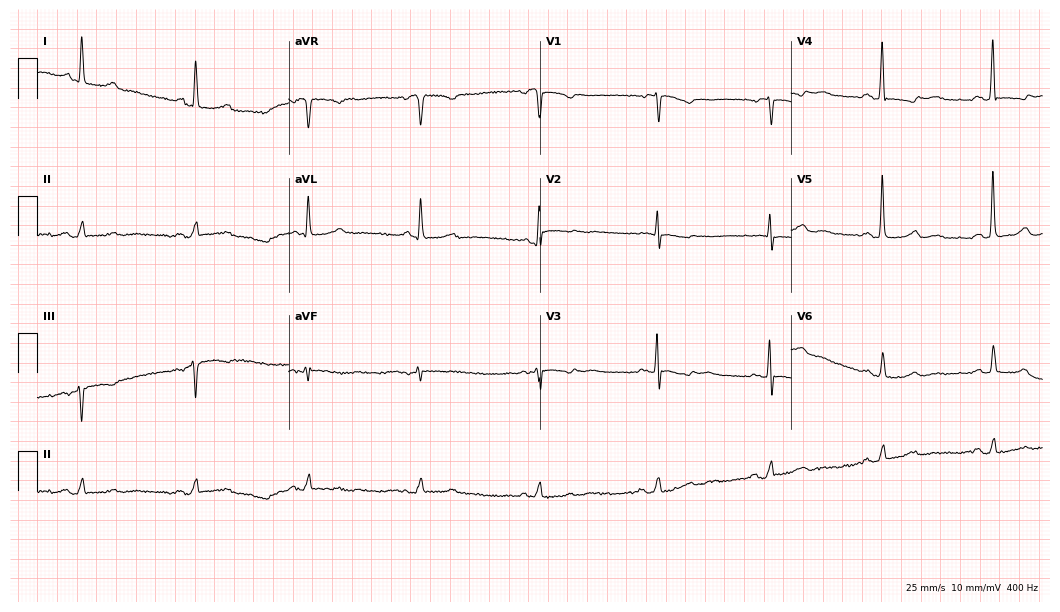
Resting 12-lead electrocardiogram (10.2-second recording at 400 Hz). Patient: a 63-year-old woman. None of these six findings is recorded: first-degree AV block, right bundle branch block, left bundle branch block, sinus bradycardia, atrial fibrillation, sinus tachycardia. Other findings, if any, are not listed.